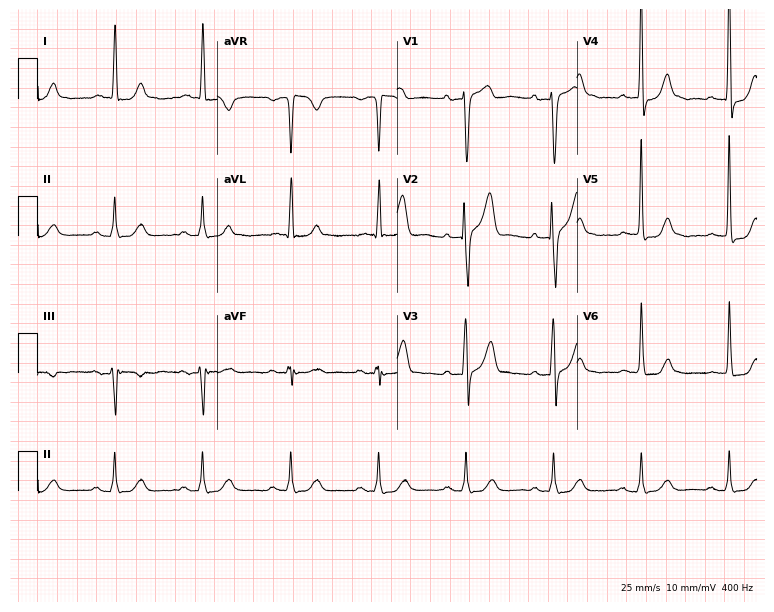
Standard 12-lead ECG recorded from a male, 81 years old. None of these six findings is recorded: first-degree AV block, right bundle branch block, left bundle branch block, sinus bradycardia, atrial fibrillation, sinus tachycardia.